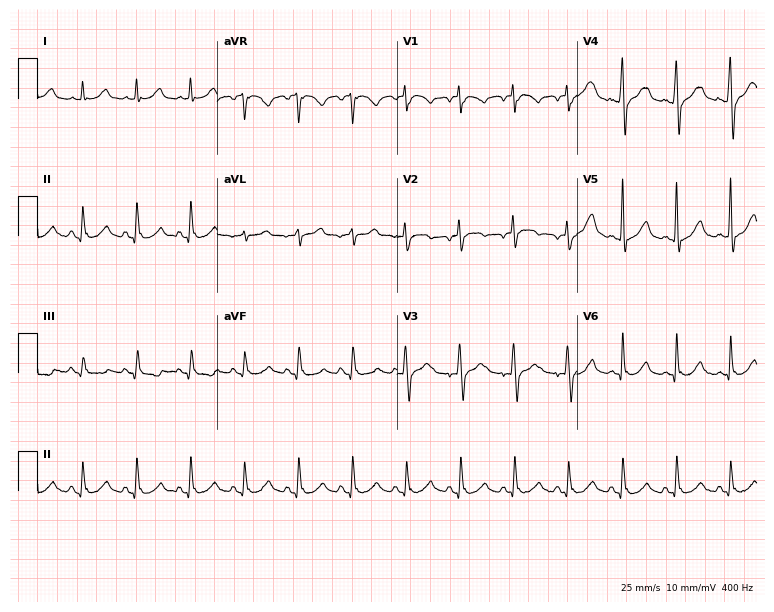
Resting 12-lead electrocardiogram (7.3-second recording at 400 Hz). Patient: a woman, 74 years old. The tracing shows sinus tachycardia (a sinus rate of 100 beats per minute or more).